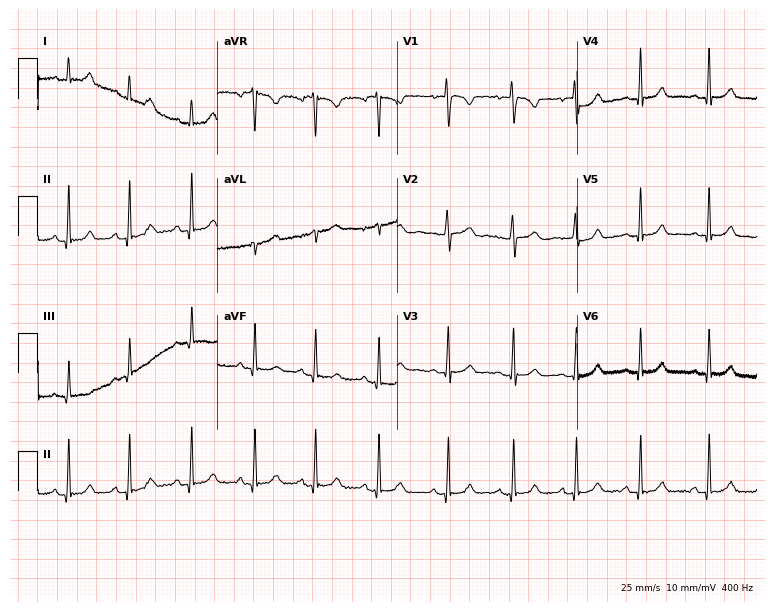
12-lead ECG from an 18-year-old woman (7.3-second recording at 400 Hz). Recorded interpretation: within normal limits.